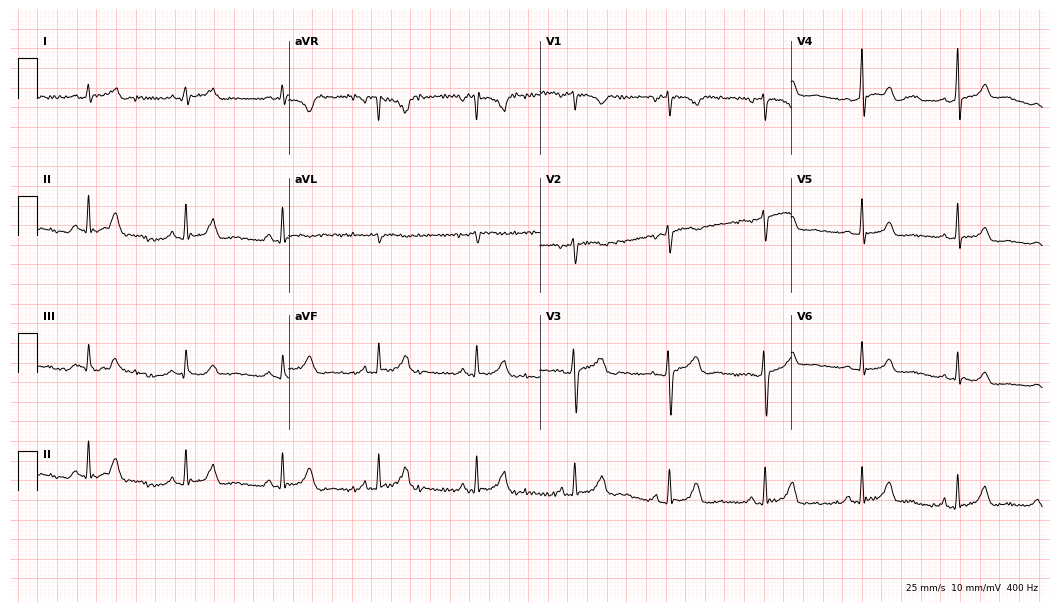
Electrocardiogram, a 55-year-old man. Of the six screened findings (first-degree AV block, right bundle branch block, left bundle branch block, sinus bradycardia, atrial fibrillation, sinus tachycardia), none is recorded. Only these six findings were labelled.